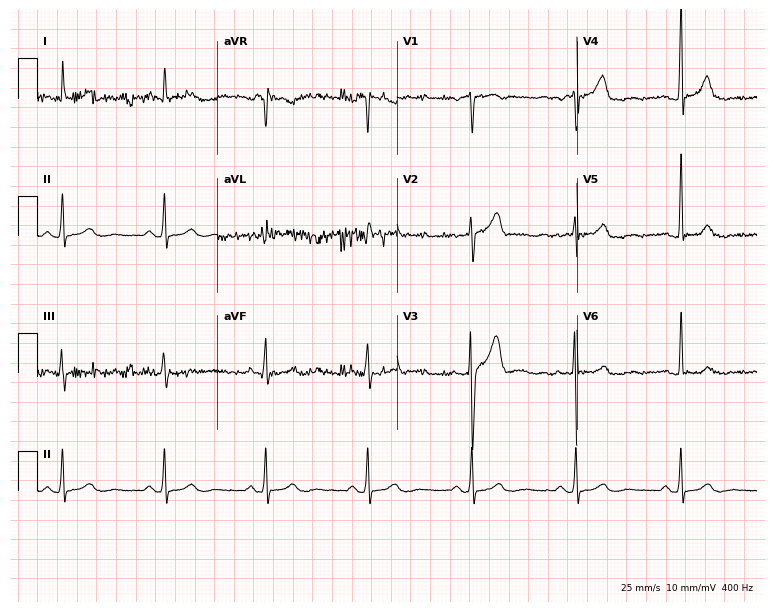
Resting 12-lead electrocardiogram (7.3-second recording at 400 Hz). Patient: a man, 60 years old. None of these six findings is recorded: first-degree AV block, right bundle branch block (RBBB), left bundle branch block (LBBB), sinus bradycardia, atrial fibrillation (AF), sinus tachycardia.